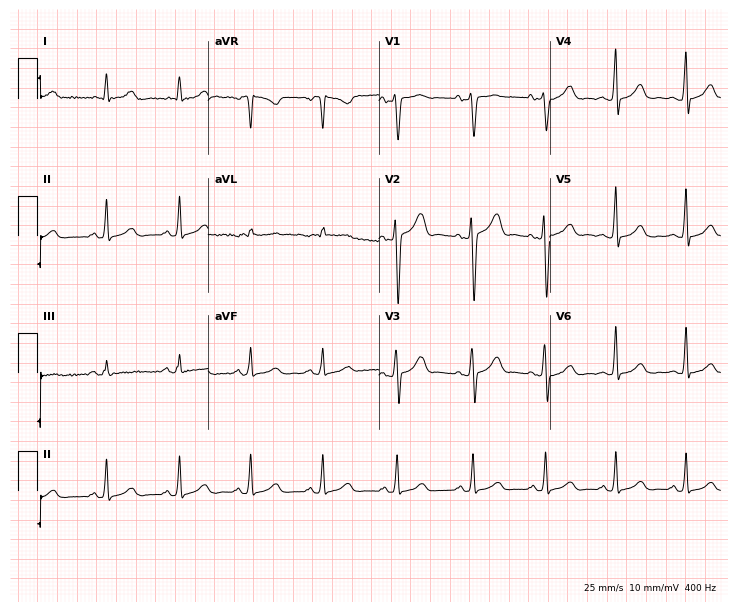
12-lead ECG (7-second recording at 400 Hz) from a 25-year-old male. Labelled as a normal ECG.